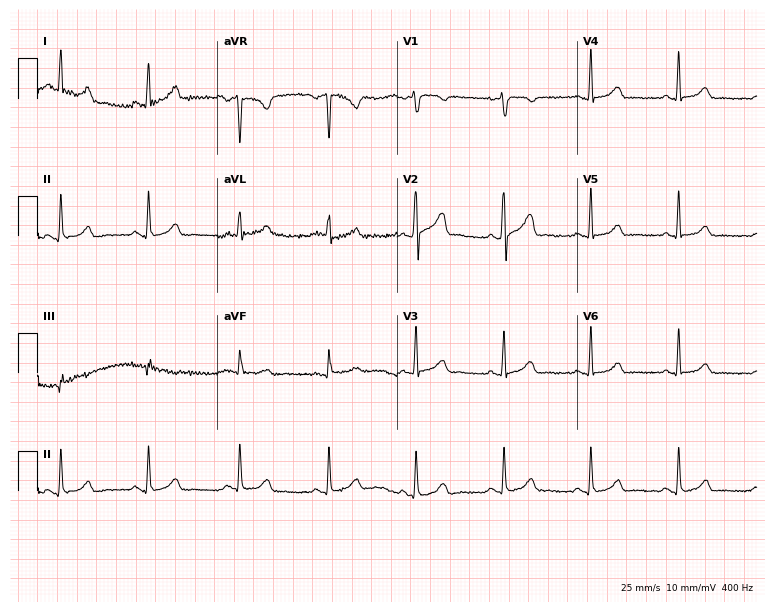
12-lead ECG from a 30-year-old female patient. Labelled as a normal ECG.